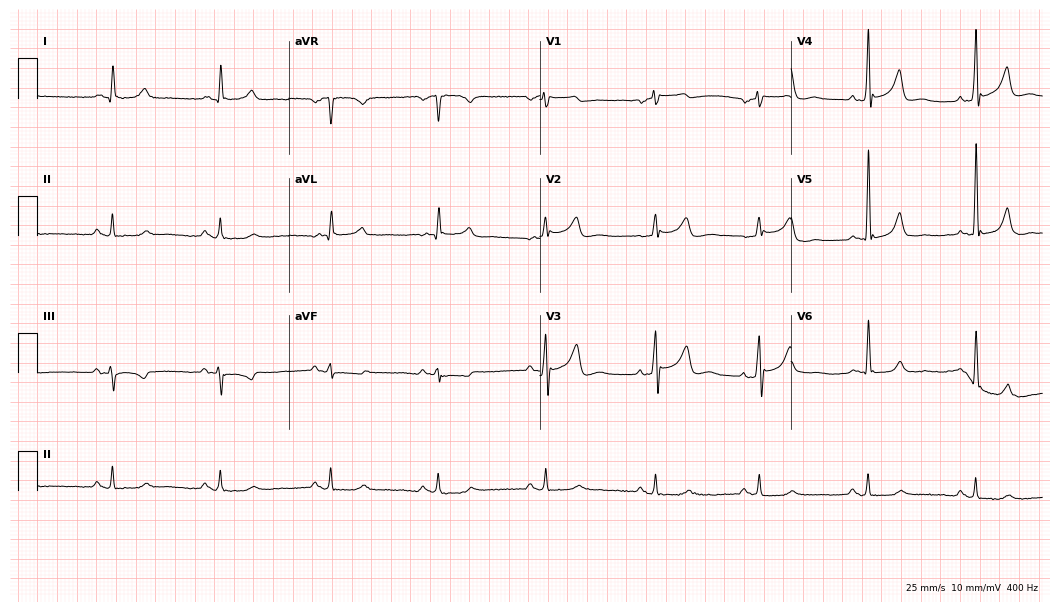
Electrocardiogram, a male patient, 80 years old. Overall reading on record: normal ECG.